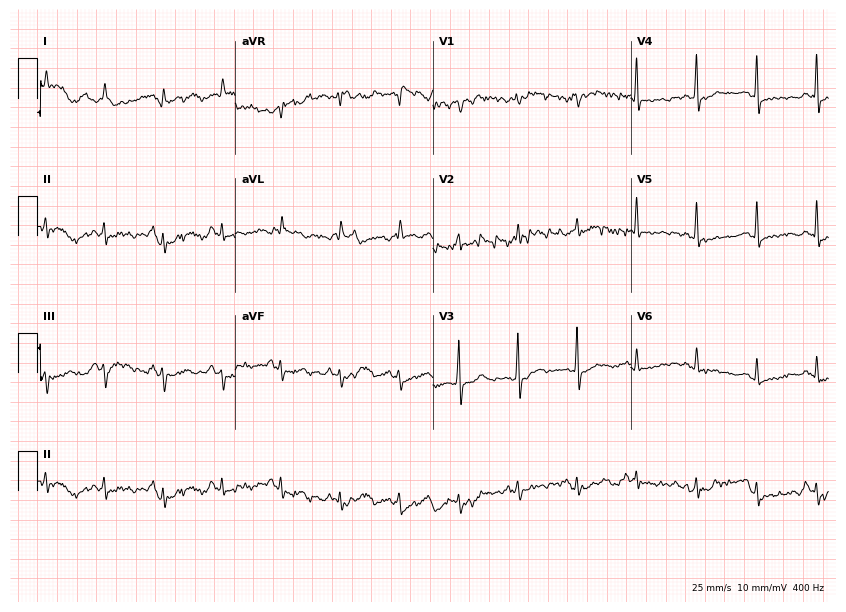
Resting 12-lead electrocardiogram (8.1-second recording at 400 Hz). Patient: a 71-year-old male. Read as a normal ECG.